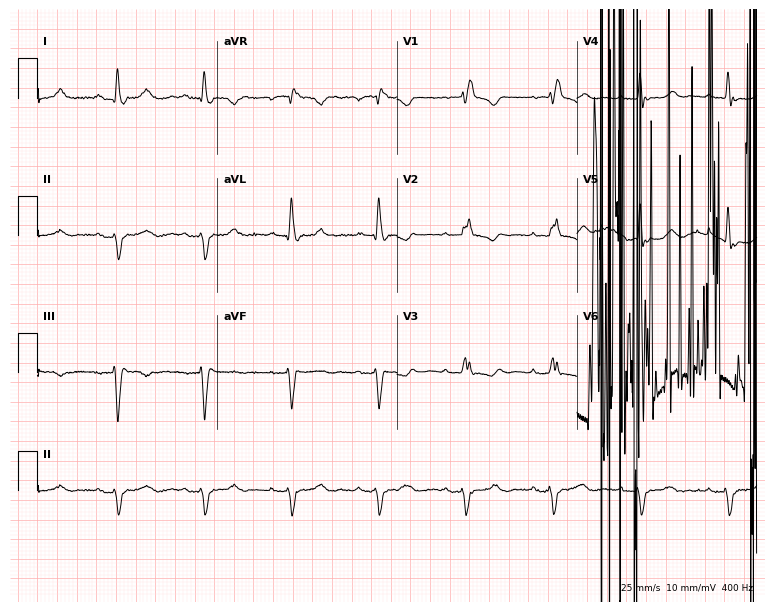
12-lead ECG from a man, 73 years old (7.3-second recording at 400 Hz). No first-degree AV block, right bundle branch block (RBBB), left bundle branch block (LBBB), sinus bradycardia, atrial fibrillation (AF) or sinus tachycardia recorded for this tracing. Findings outside these six are not listed.